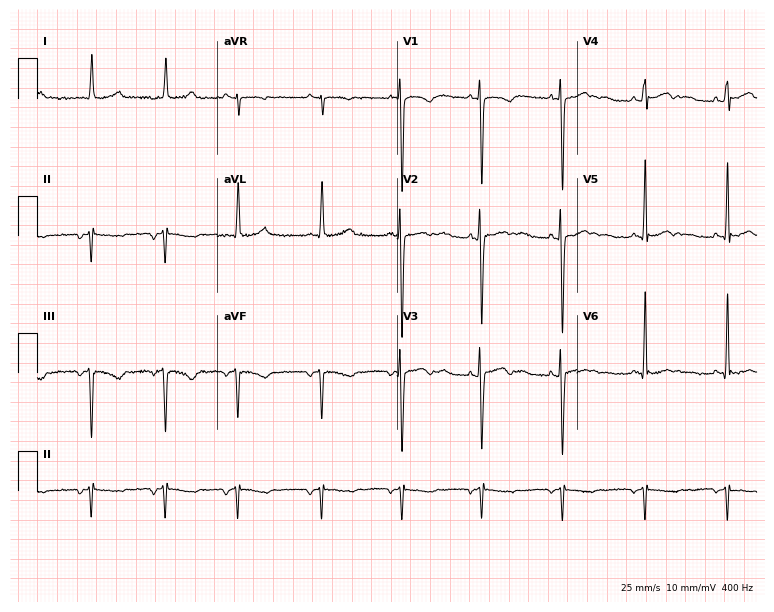
ECG — a 33-year-old female patient. Screened for six findings — first-degree AV block, right bundle branch block (RBBB), left bundle branch block (LBBB), sinus bradycardia, atrial fibrillation (AF), sinus tachycardia — none is recorded.